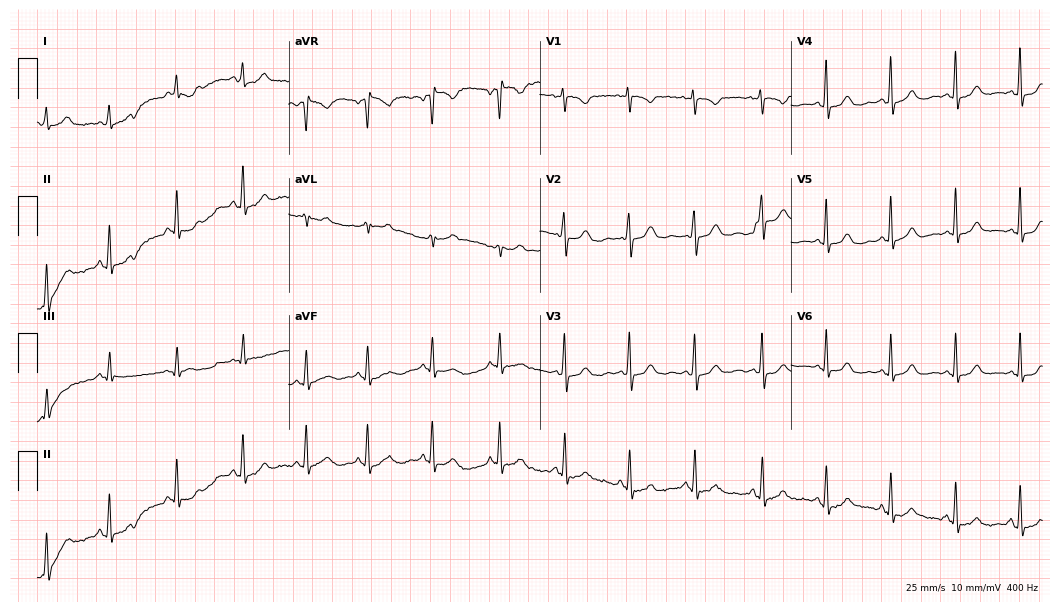
Standard 12-lead ECG recorded from a female, 30 years old (10.2-second recording at 400 Hz). None of these six findings is recorded: first-degree AV block, right bundle branch block, left bundle branch block, sinus bradycardia, atrial fibrillation, sinus tachycardia.